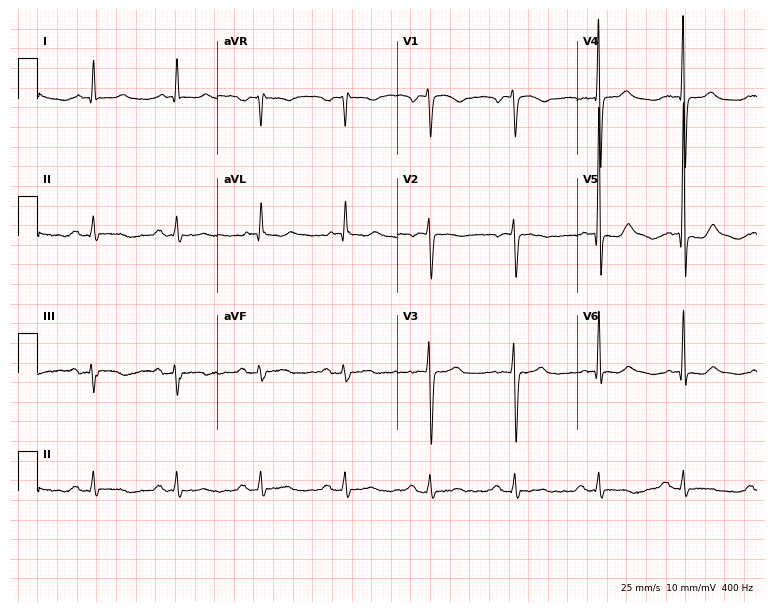
Resting 12-lead electrocardiogram. Patient: a male, 79 years old. None of these six findings is recorded: first-degree AV block, right bundle branch block, left bundle branch block, sinus bradycardia, atrial fibrillation, sinus tachycardia.